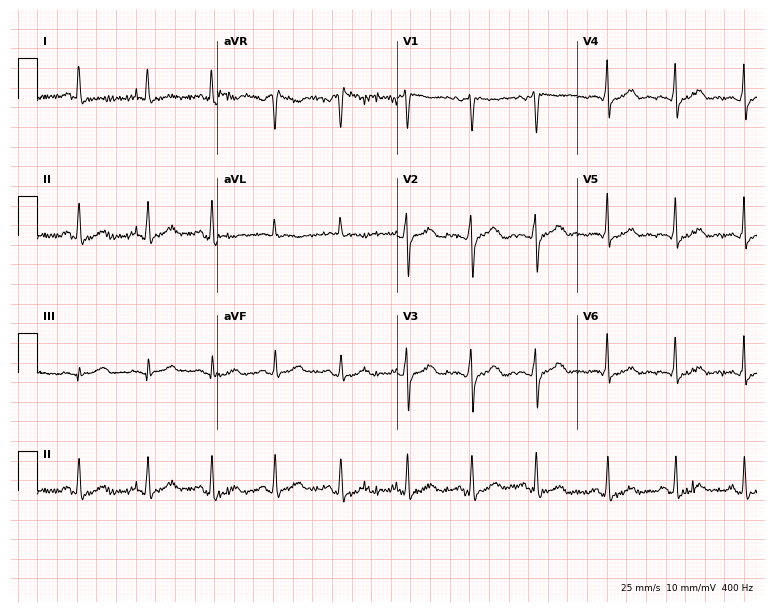
Standard 12-lead ECG recorded from a 17-year-old female (7.3-second recording at 400 Hz). Read as a normal ECG.